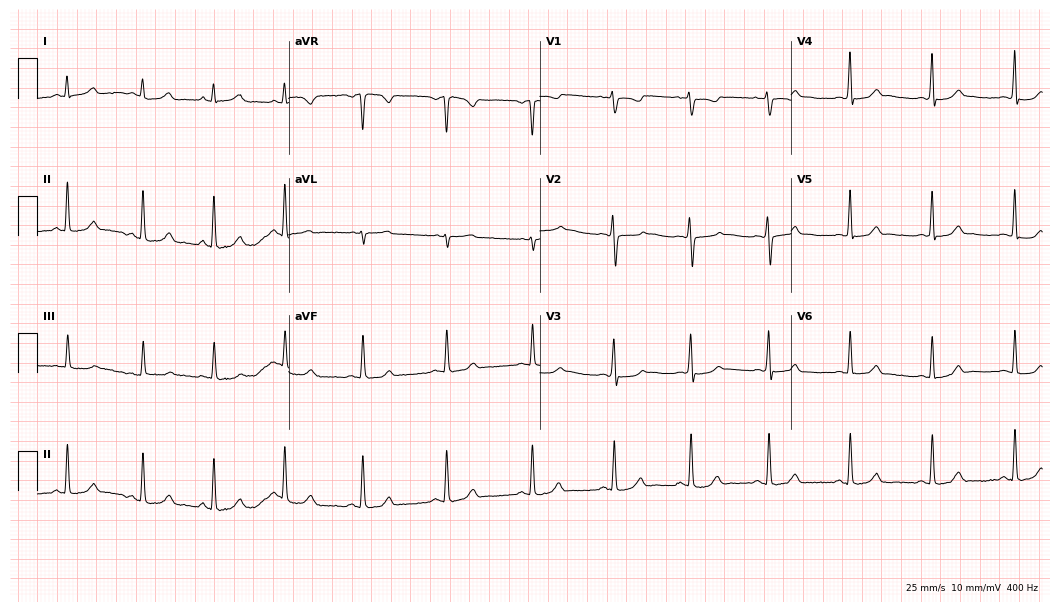
ECG — a female patient, 26 years old. Labelled as a normal ECG.